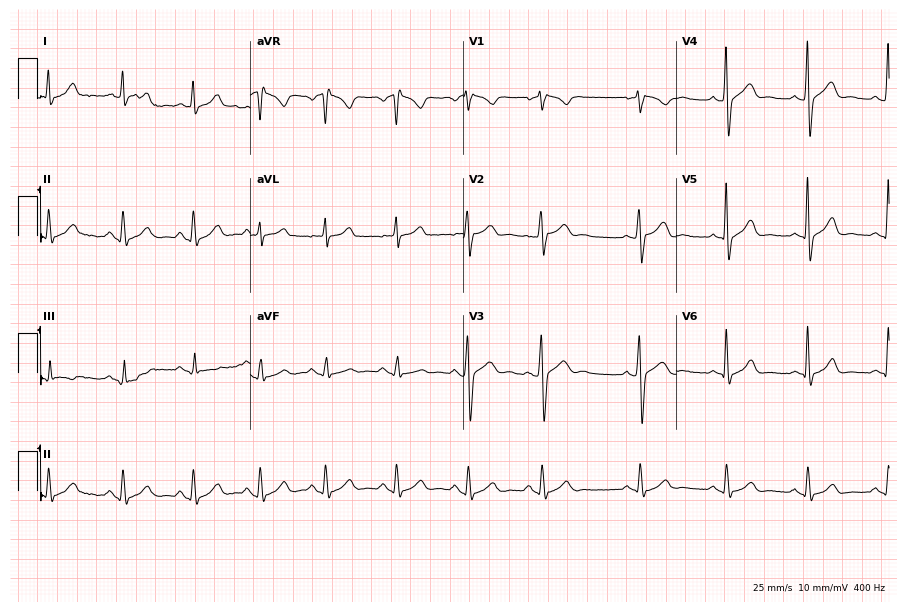
12-lead ECG from a 25-year-old man. No first-degree AV block, right bundle branch block, left bundle branch block, sinus bradycardia, atrial fibrillation or sinus tachycardia recorded for this tracing. Only these six findings were labelled.